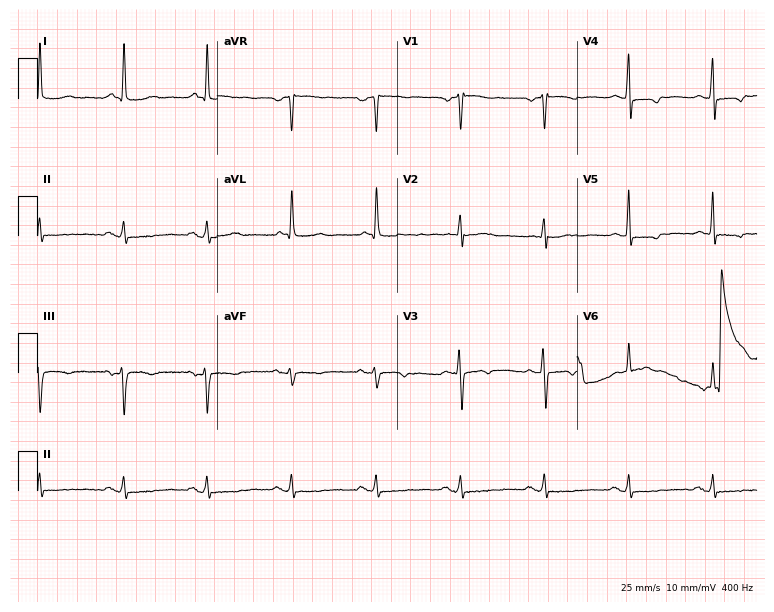
Standard 12-lead ECG recorded from a 78-year-old male (7.3-second recording at 400 Hz). None of these six findings is recorded: first-degree AV block, right bundle branch block (RBBB), left bundle branch block (LBBB), sinus bradycardia, atrial fibrillation (AF), sinus tachycardia. Other findings, if any, are not listed.